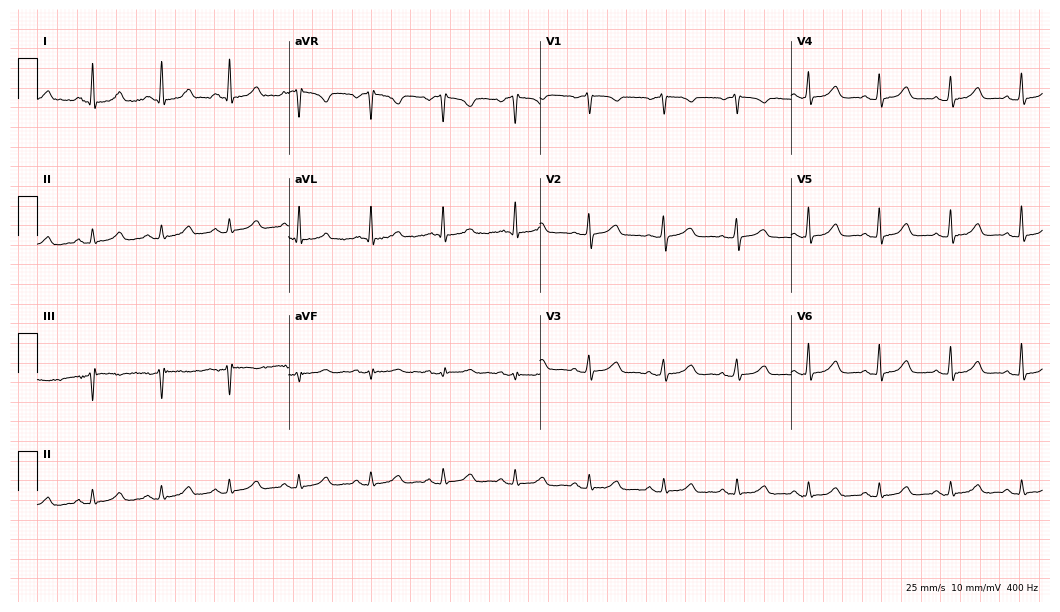
Standard 12-lead ECG recorded from a female, 58 years old (10.2-second recording at 400 Hz). Read as a normal ECG.